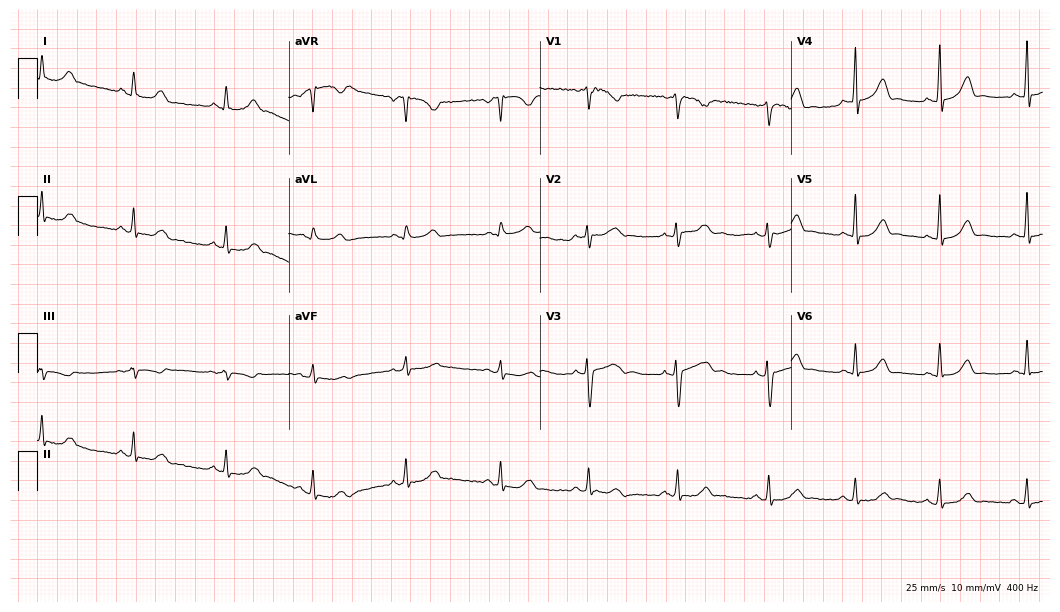
12-lead ECG from a 24-year-old woman (10.2-second recording at 400 Hz). Recorded interpretation: within normal limits.